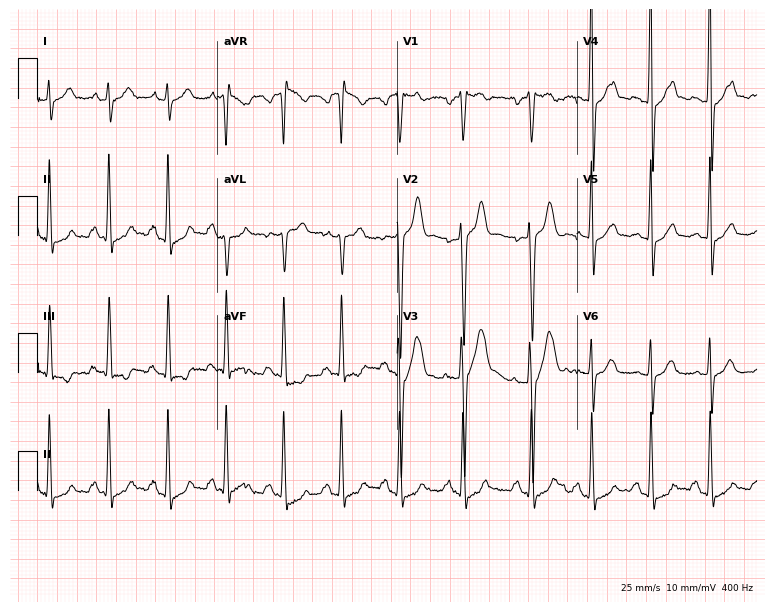
12-lead ECG from a 20-year-old man. Screened for six findings — first-degree AV block, right bundle branch block, left bundle branch block, sinus bradycardia, atrial fibrillation, sinus tachycardia — none is recorded. Other findings, if any, are not listed.